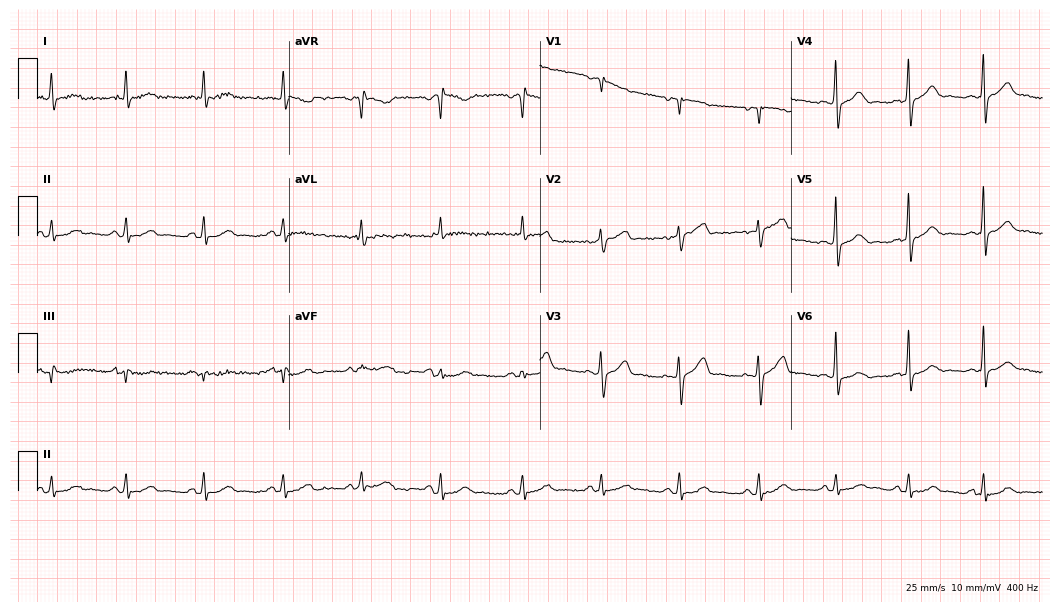
Standard 12-lead ECG recorded from a male, 67 years old (10.2-second recording at 400 Hz). Read as a normal ECG.